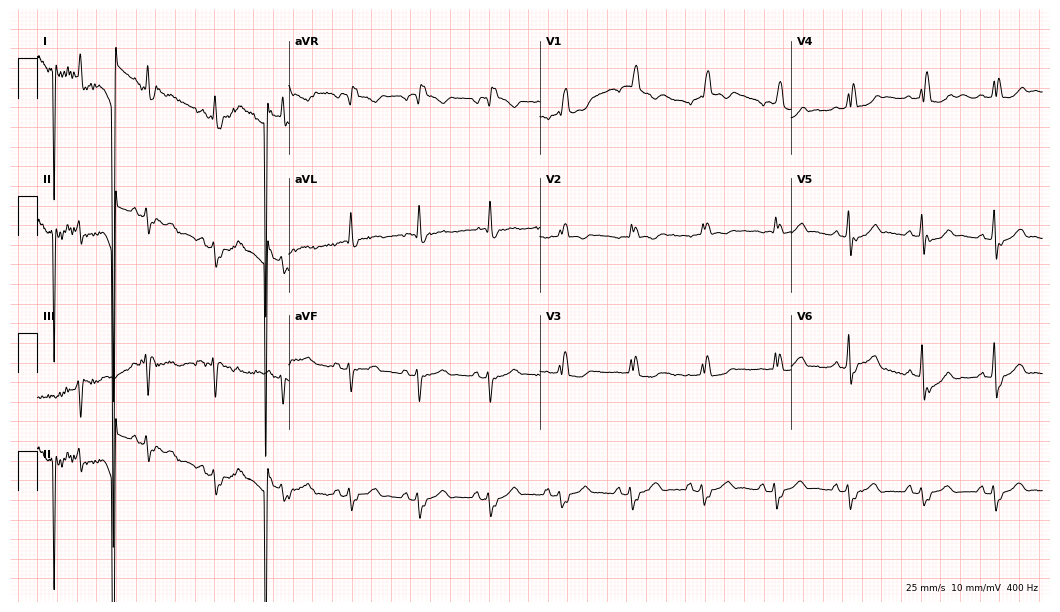
ECG — a 79-year-old man. Screened for six findings — first-degree AV block, right bundle branch block, left bundle branch block, sinus bradycardia, atrial fibrillation, sinus tachycardia — none is recorded.